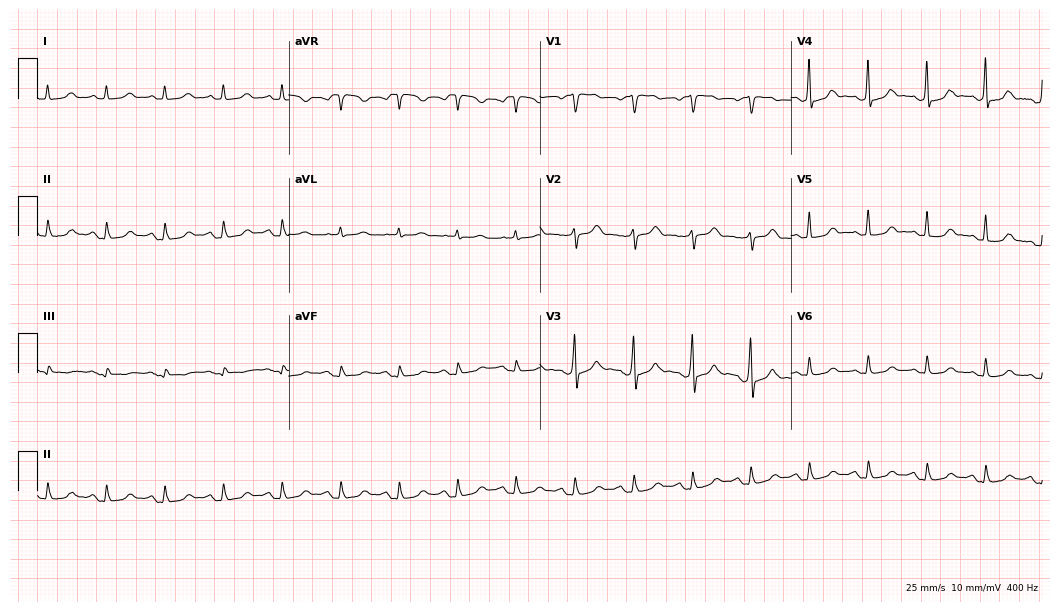
ECG — a woman, 81 years old. Labelled as a normal ECG.